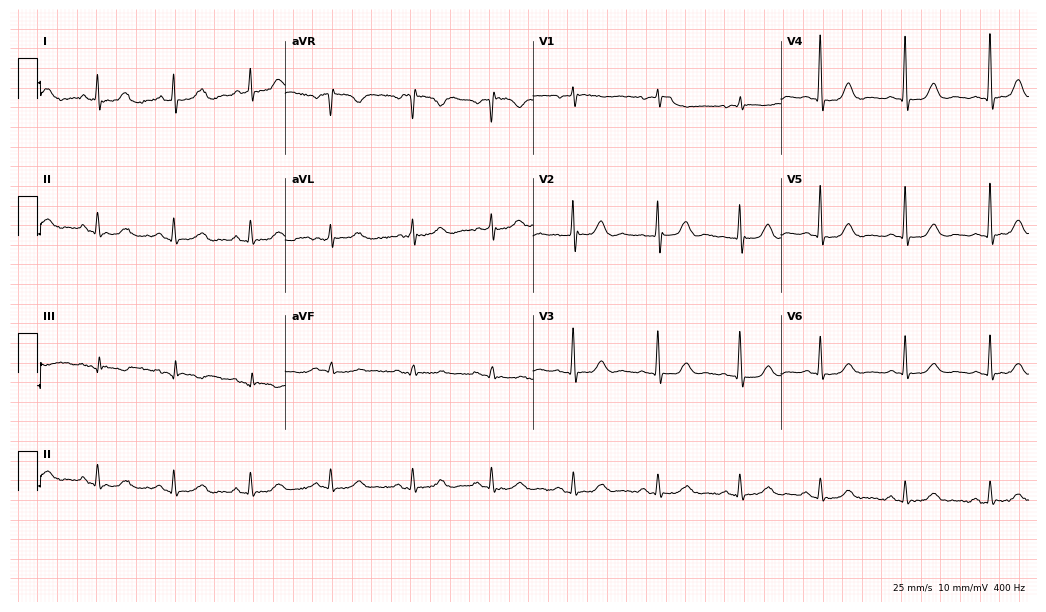
ECG — an 84-year-old female patient. Screened for six findings — first-degree AV block, right bundle branch block, left bundle branch block, sinus bradycardia, atrial fibrillation, sinus tachycardia — none is recorded. Findings outside these six are not listed.